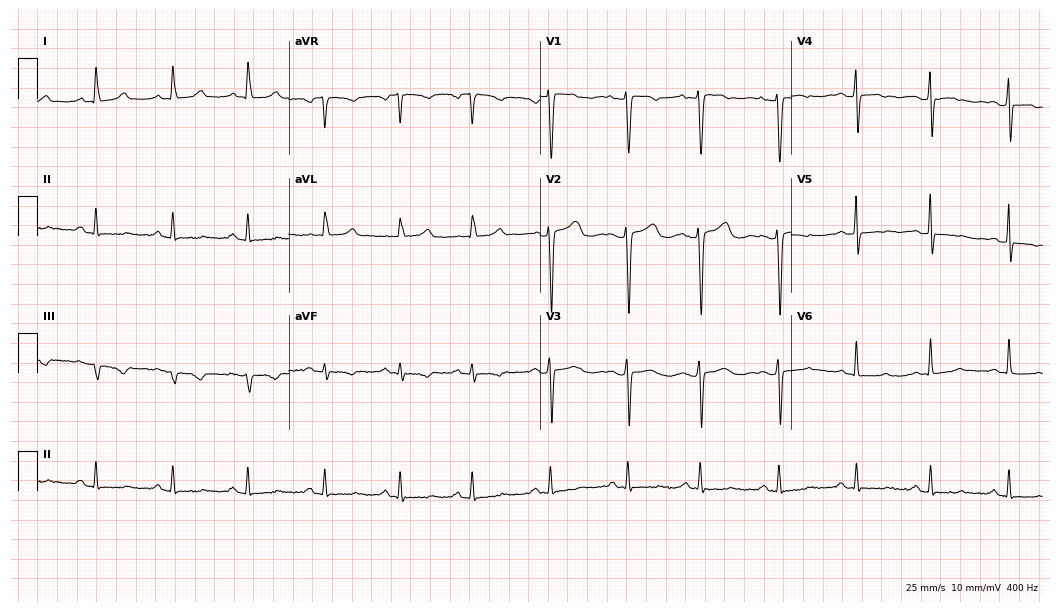
Resting 12-lead electrocardiogram (10.2-second recording at 400 Hz). Patient: a 43-year-old woman. None of these six findings is recorded: first-degree AV block, right bundle branch block, left bundle branch block, sinus bradycardia, atrial fibrillation, sinus tachycardia.